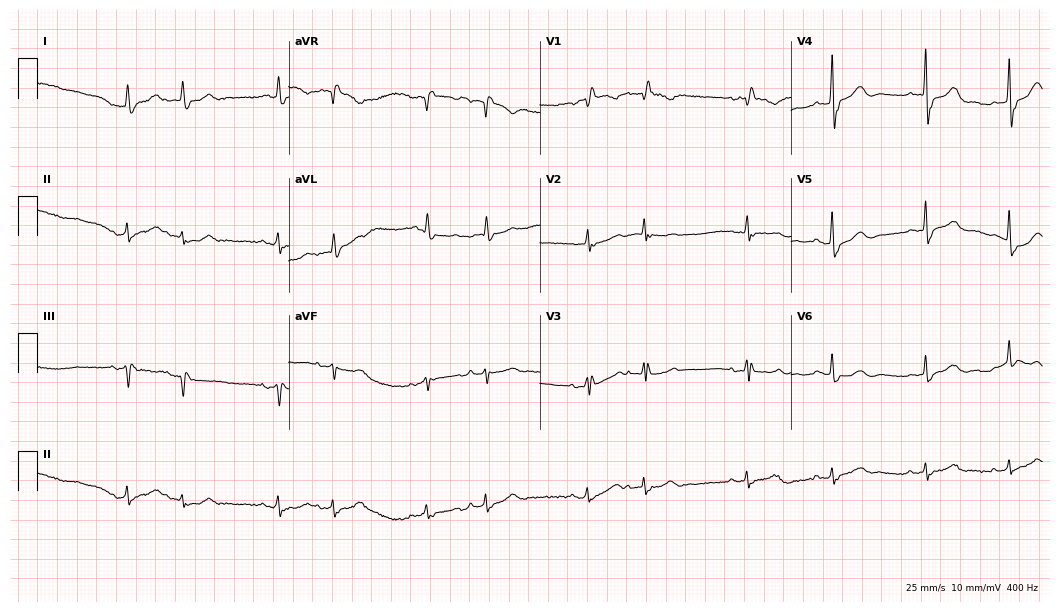
ECG (10.2-second recording at 400 Hz) — a female, 86 years old. Screened for six findings — first-degree AV block, right bundle branch block (RBBB), left bundle branch block (LBBB), sinus bradycardia, atrial fibrillation (AF), sinus tachycardia — none is recorded.